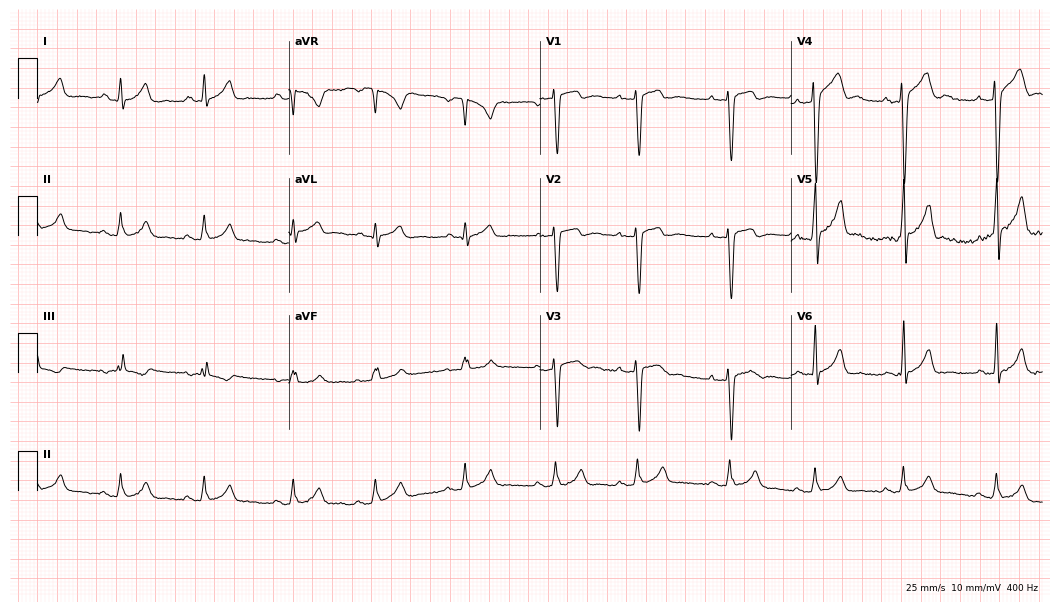
Electrocardiogram (10.2-second recording at 400 Hz), a 19-year-old male. Overall reading on record: normal ECG.